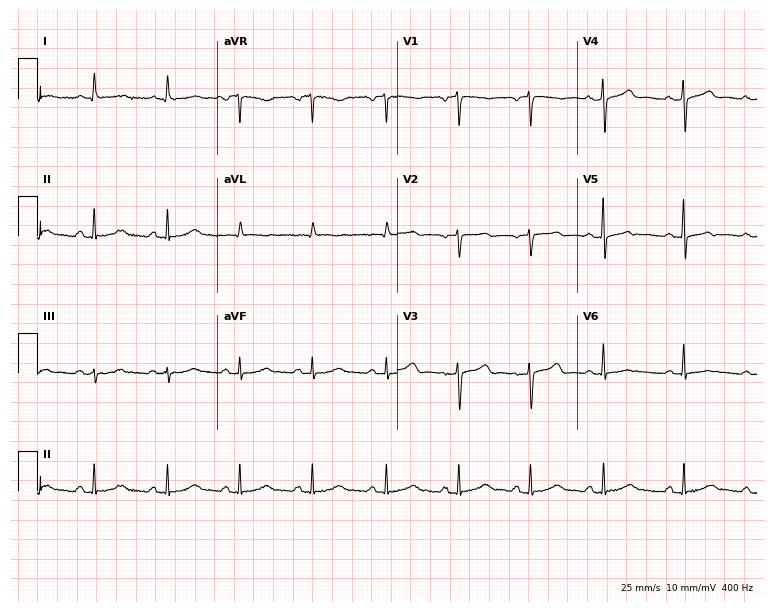
Standard 12-lead ECG recorded from a woman, 58 years old. Read as a normal ECG.